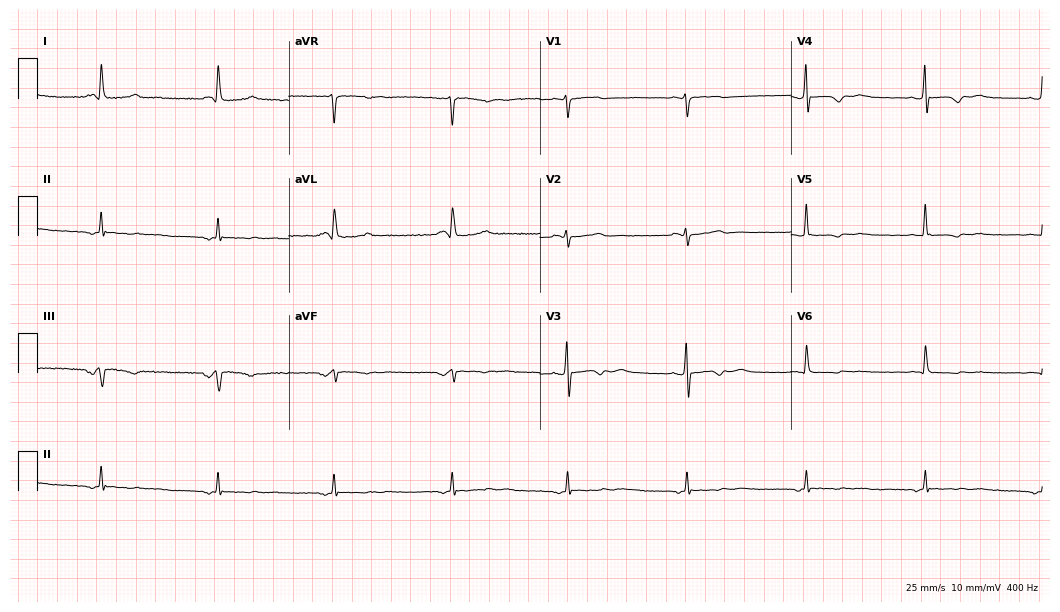
Standard 12-lead ECG recorded from a 60-year-old female patient (10.2-second recording at 400 Hz). None of these six findings is recorded: first-degree AV block, right bundle branch block, left bundle branch block, sinus bradycardia, atrial fibrillation, sinus tachycardia. Other findings, if any, are not listed.